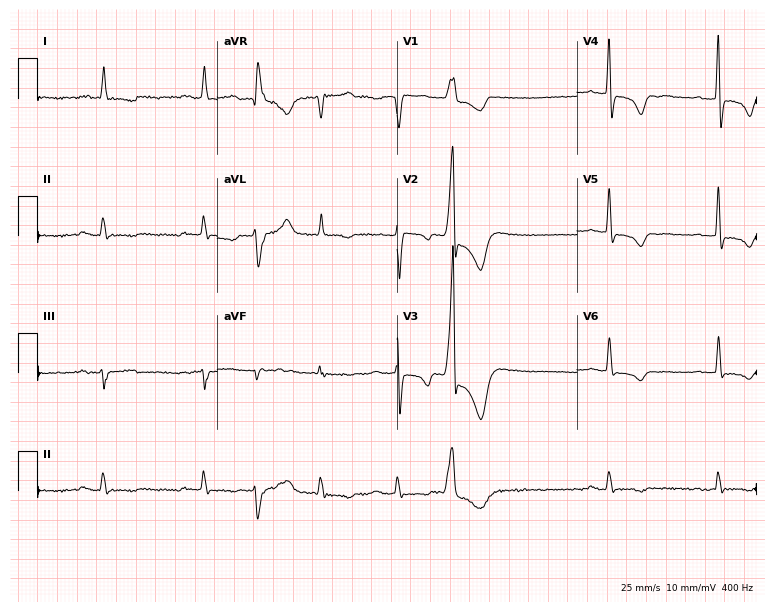
Electrocardiogram, a female, 75 years old. Of the six screened findings (first-degree AV block, right bundle branch block, left bundle branch block, sinus bradycardia, atrial fibrillation, sinus tachycardia), none is recorded.